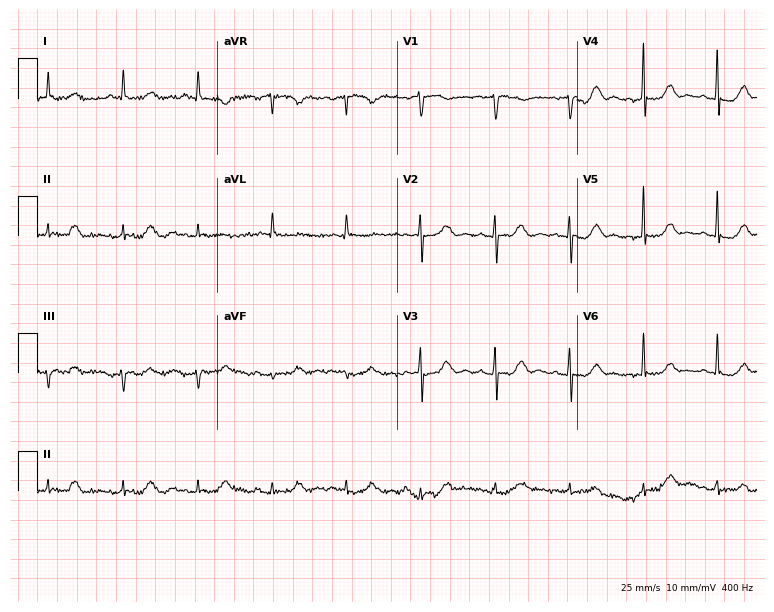
Standard 12-lead ECG recorded from a female, 79 years old (7.3-second recording at 400 Hz). None of these six findings is recorded: first-degree AV block, right bundle branch block, left bundle branch block, sinus bradycardia, atrial fibrillation, sinus tachycardia. Only these six findings were labelled.